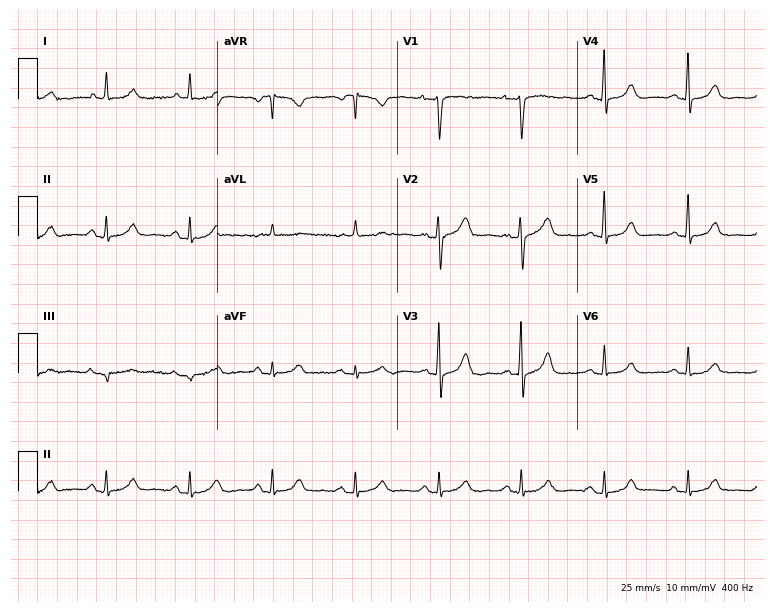
Electrocardiogram, a 72-year-old woman. Overall reading on record: normal ECG.